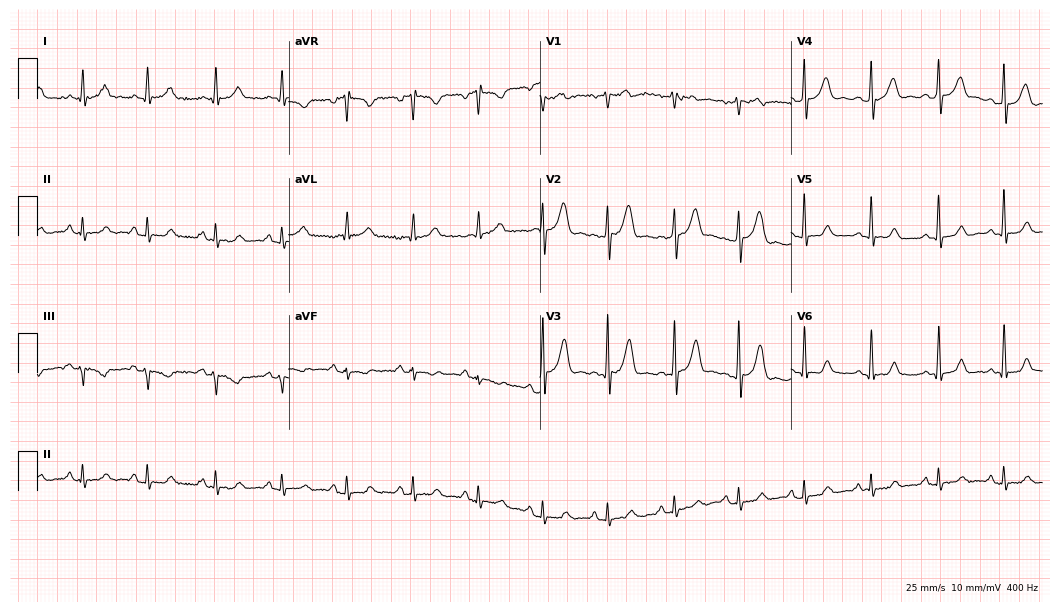
Resting 12-lead electrocardiogram. Patient: a woman, 46 years old. Read as a normal ECG.